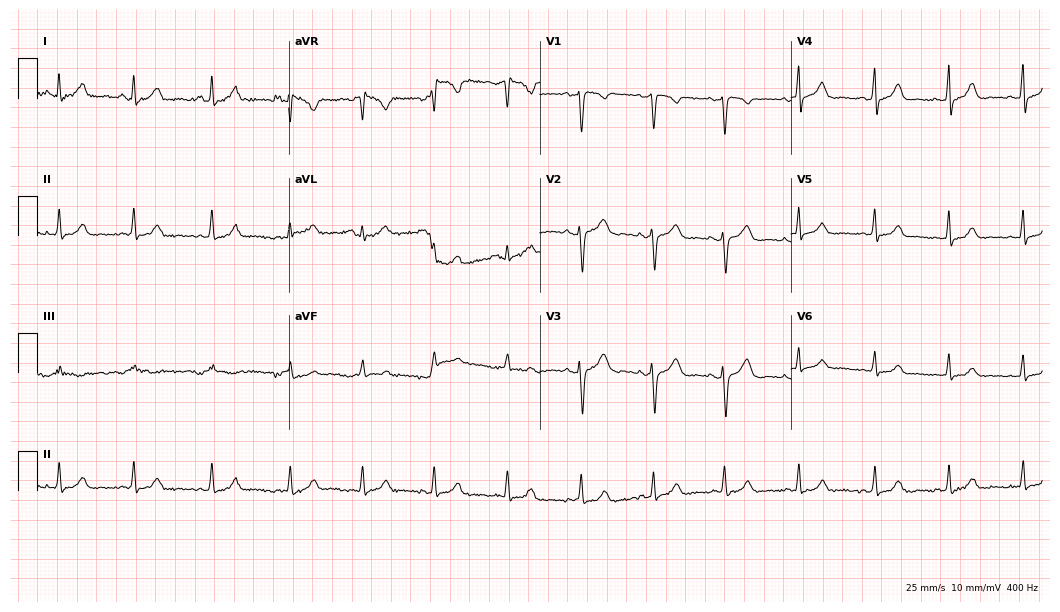
12-lead ECG from a 29-year-old woman. Labelled as a normal ECG.